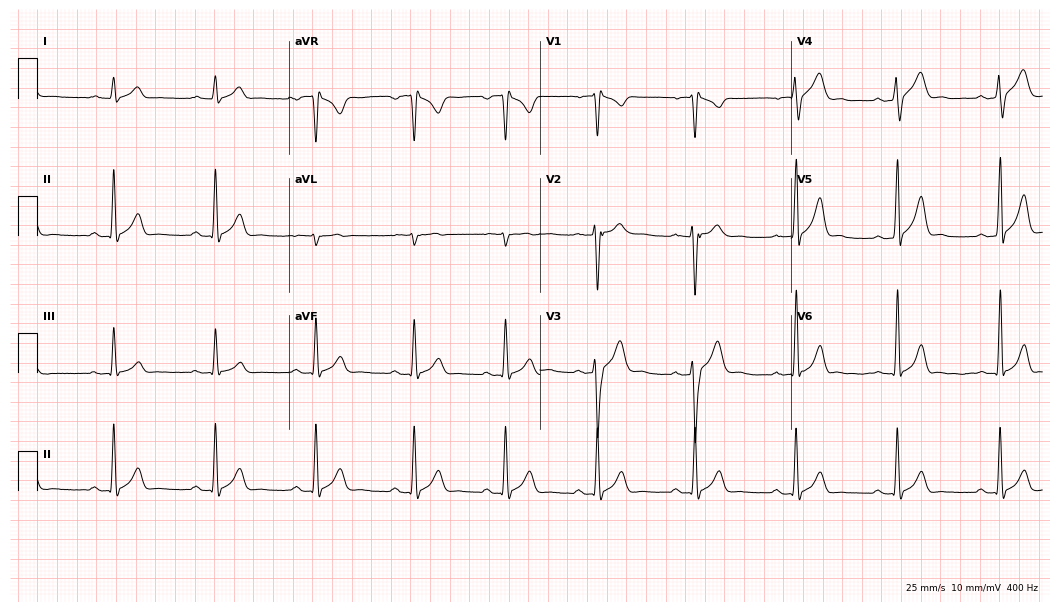
ECG (10.2-second recording at 400 Hz) — a 20-year-old man. Screened for six findings — first-degree AV block, right bundle branch block, left bundle branch block, sinus bradycardia, atrial fibrillation, sinus tachycardia — none is recorded. Other findings, if any, are not listed.